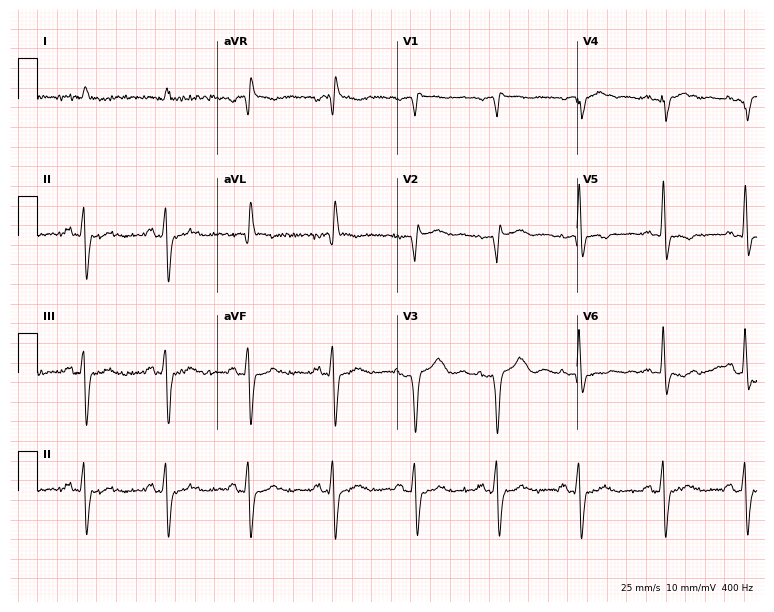
Electrocardiogram, an 83-year-old man. Of the six screened findings (first-degree AV block, right bundle branch block, left bundle branch block, sinus bradycardia, atrial fibrillation, sinus tachycardia), none is recorded. Findings outside these six are not listed.